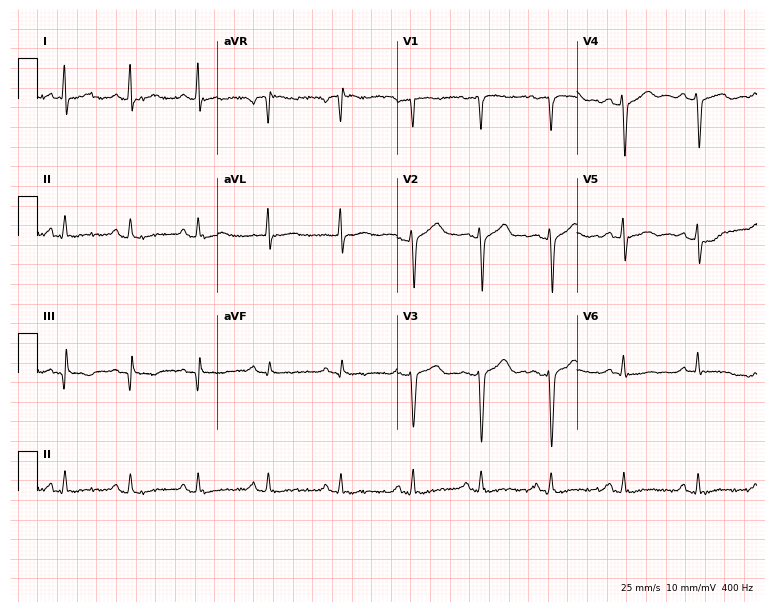
12-lead ECG from a 49-year-old man. Labelled as a normal ECG.